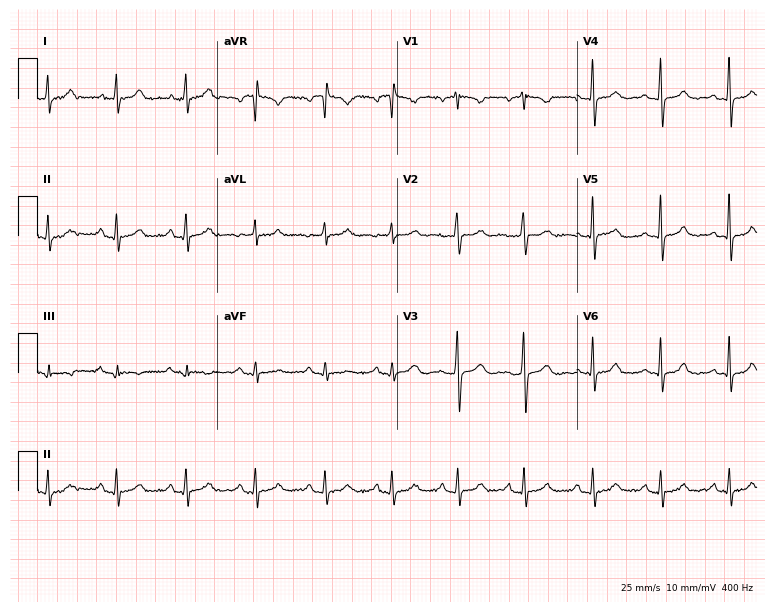
Standard 12-lead ECG recorded from a 36-year-old female. Read as a normal ECG.